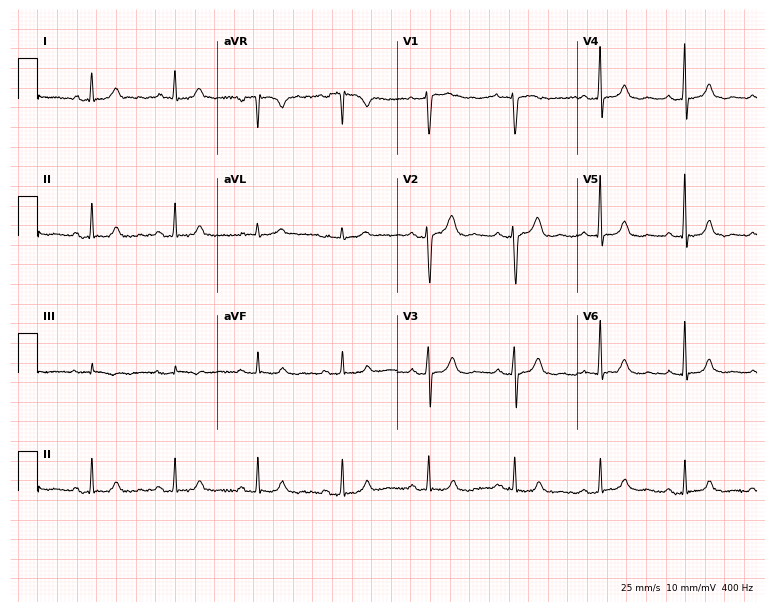
ECG — a 57-year-old female patient. Screened for six findings — first-degree AV block, right bundle branch block, left bundle branch block, sinus bradycardia, atrial fibrillation, sinus tachycardia — none is recorded. Only these six findings were labelled.